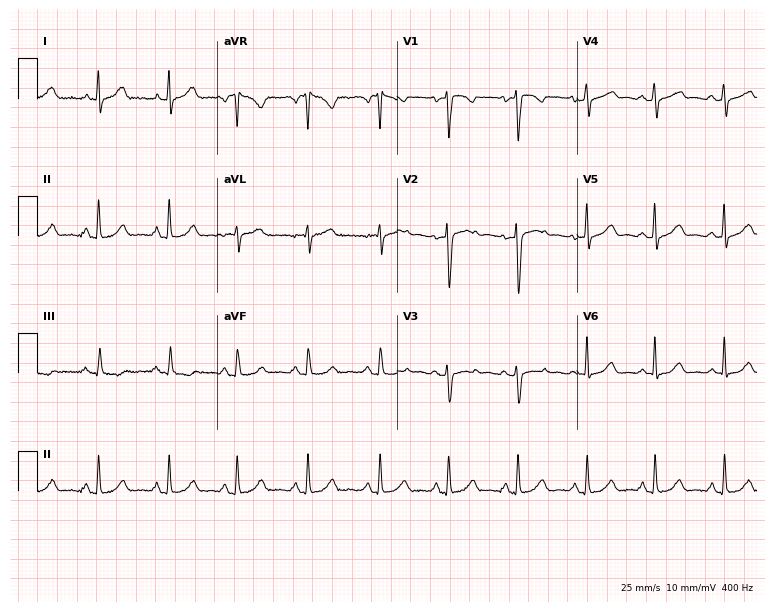
12-lead ECG from a 42-year-old female. Labelled as a normal ECG.